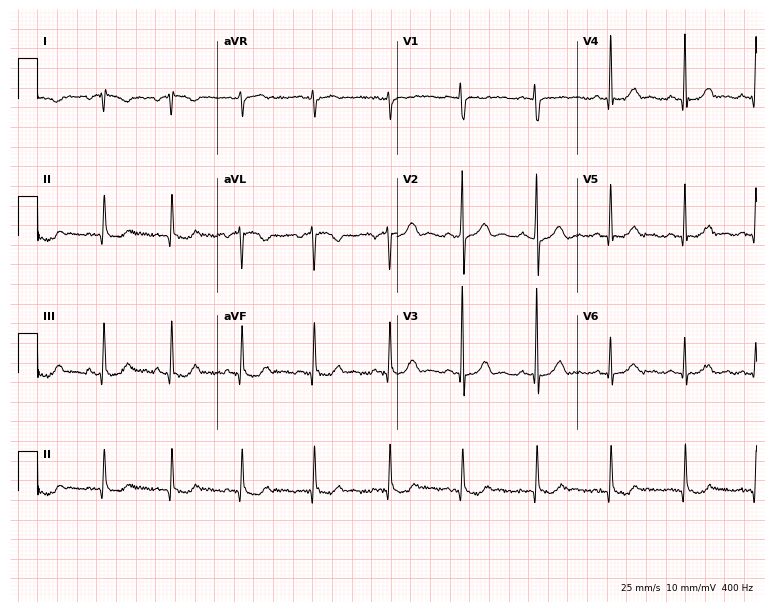
Resting 12-lead electrocardiogram. Patient: a 37-year-old female. Read as a normal ECG.